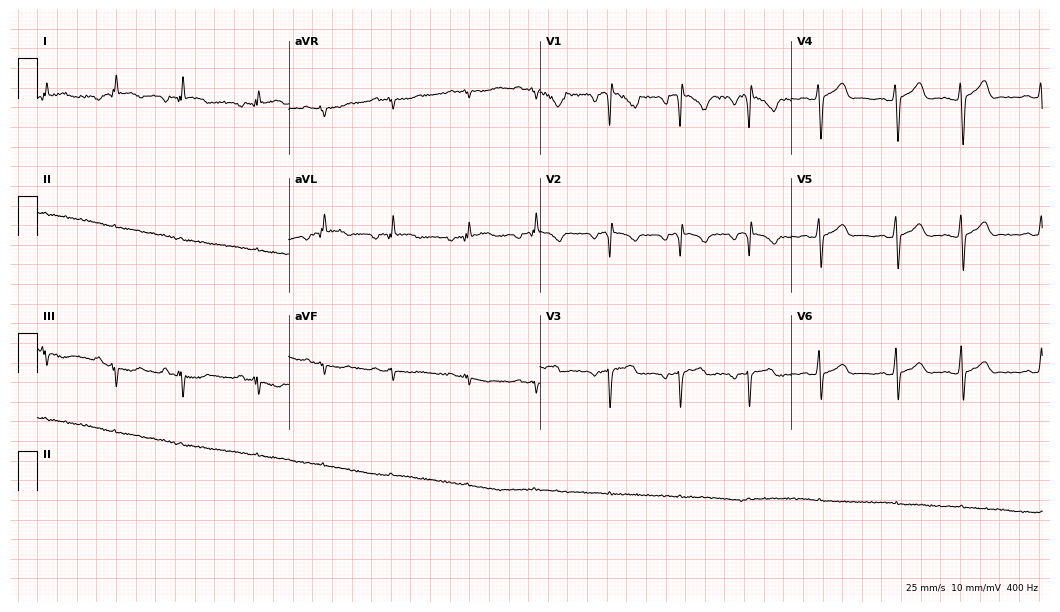
Resting 12-lead electrocardiogram (10.2-second recording at 400 Hz). Patient: a female, 30 years old. None of these six findings is recorded: first-degree AV block, right bundle branch block, left bundle branch block, sinus bradycardia, atrial fibrillation, sinus tachycardia.